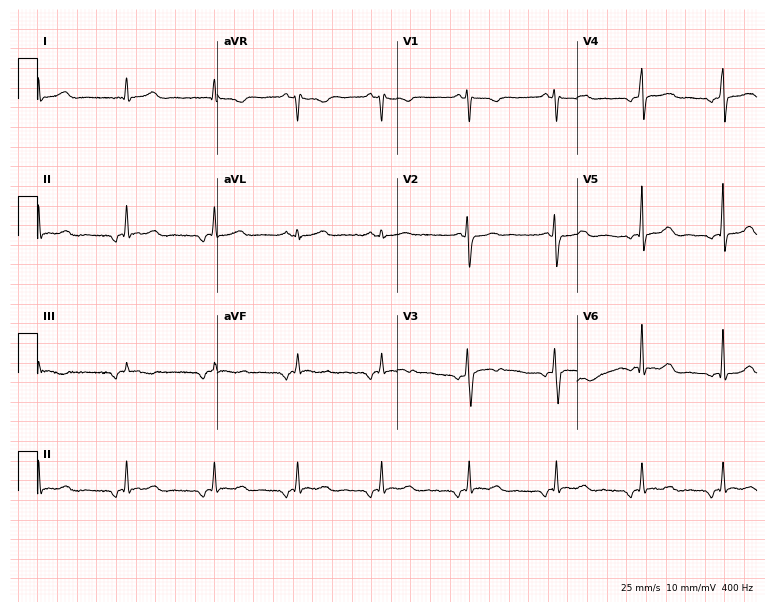
12-lead ECG from a female patient, 32 years old (7.3-second recording at 400 Hz). No first-degree AV block, right bundle branch block (RBBB), left bundle branch block (LBBB), sinus bradycardia, atrial fibrillation (AF) or sinus tachycardia recorded for this tracing.